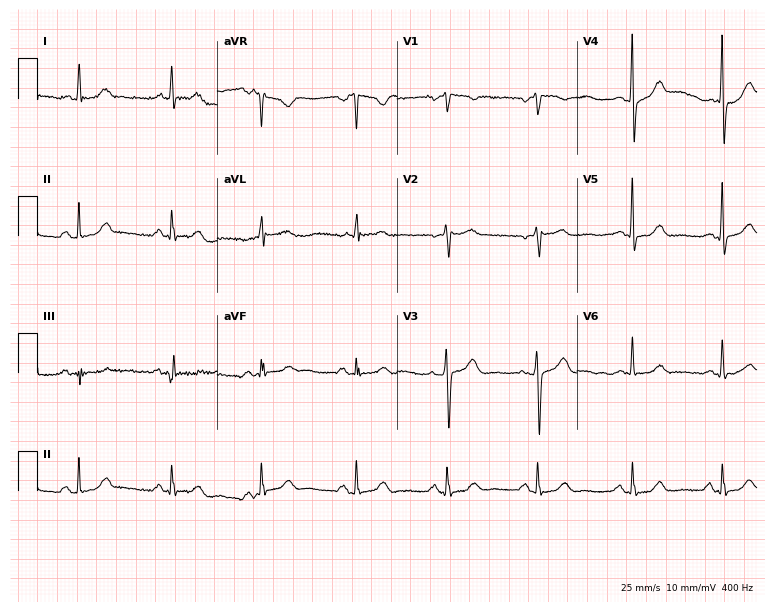
12-lead ECG (7.3-second recording at 400 Hz) from a female patient, 60 years old. Screened for six findings — first-degree AV block, right bundle branch block (RBBB), left bundle branch block (LBBB), sinus bradycardia, atrial fibrillation (AF), sinus tachycardia — none is recorded. Findings outside these six are not listed.